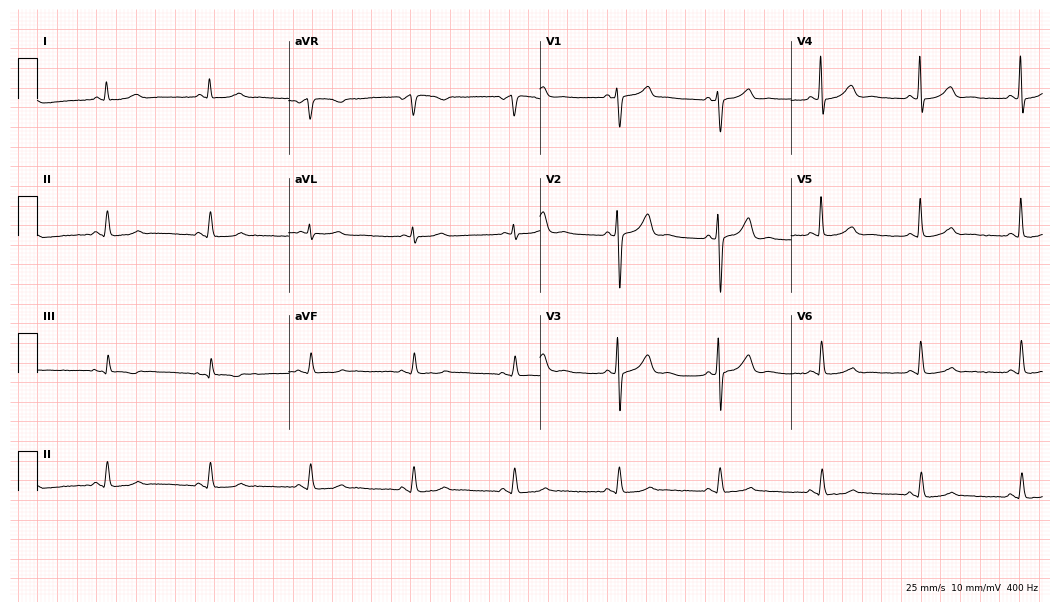
12-lead ECG from a male patient, 69 years old (10.2-second recording at 400 Hz). Recorded interpretation: within normal limits.